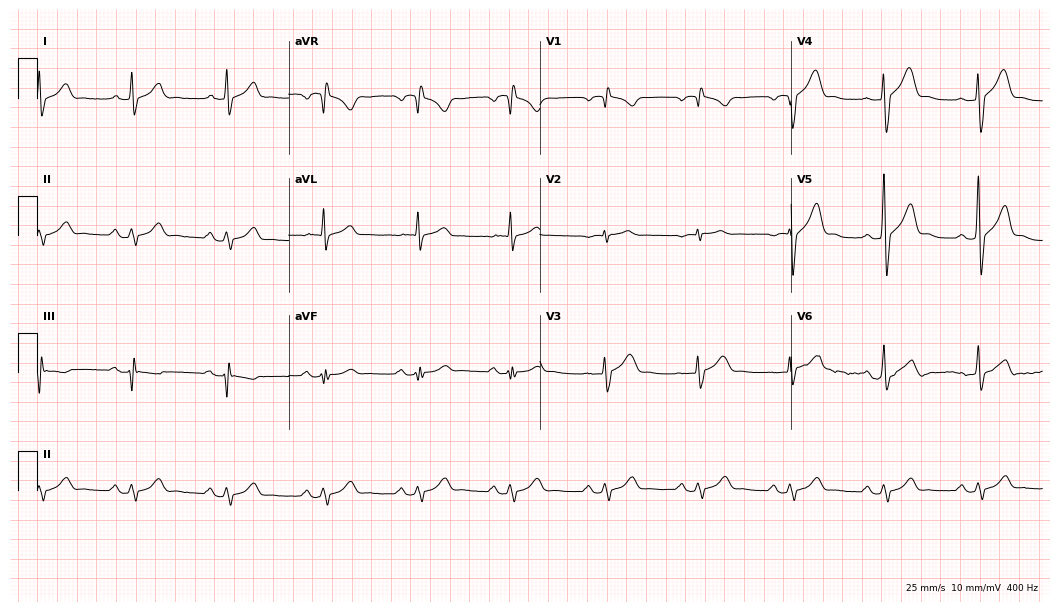
Resting 12-lead electrocardiogram. Patient: a 54-year-old male. Read as a normal ECG.